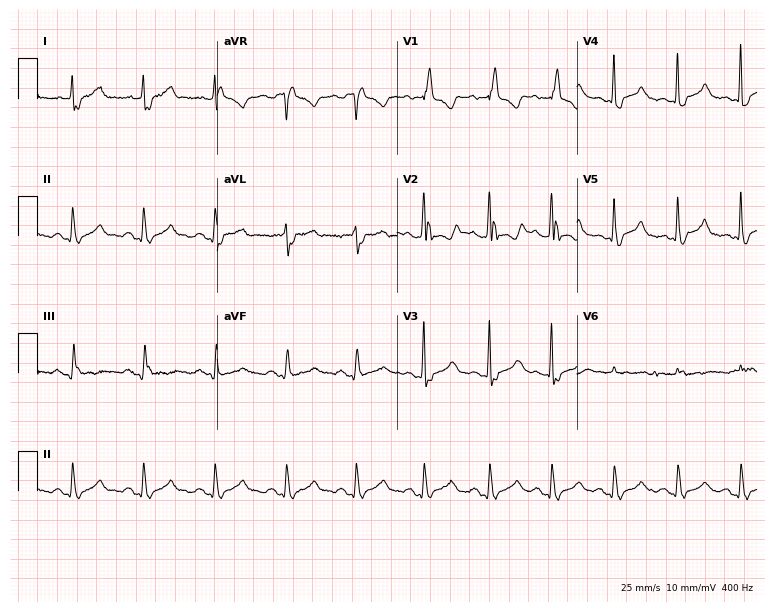
12-lead ECG (7.3-second recording at 400 Hz) from a male, 57 years old. Findings include right bundle branch block (RBBB).